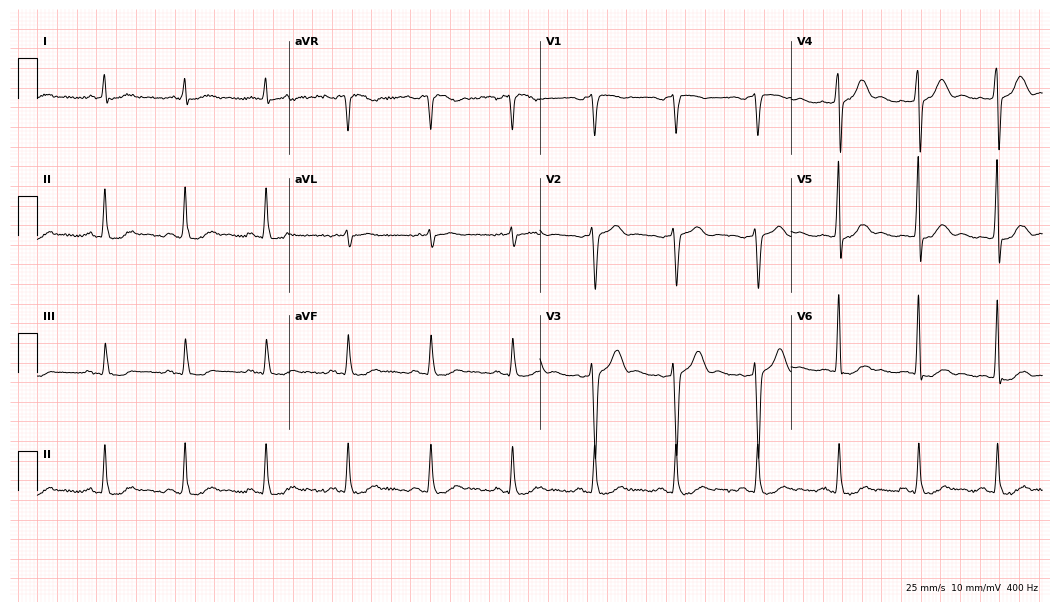
Standard 12-lead ECG recorded from a male patient, 61 years old. Read as a normal ECG.